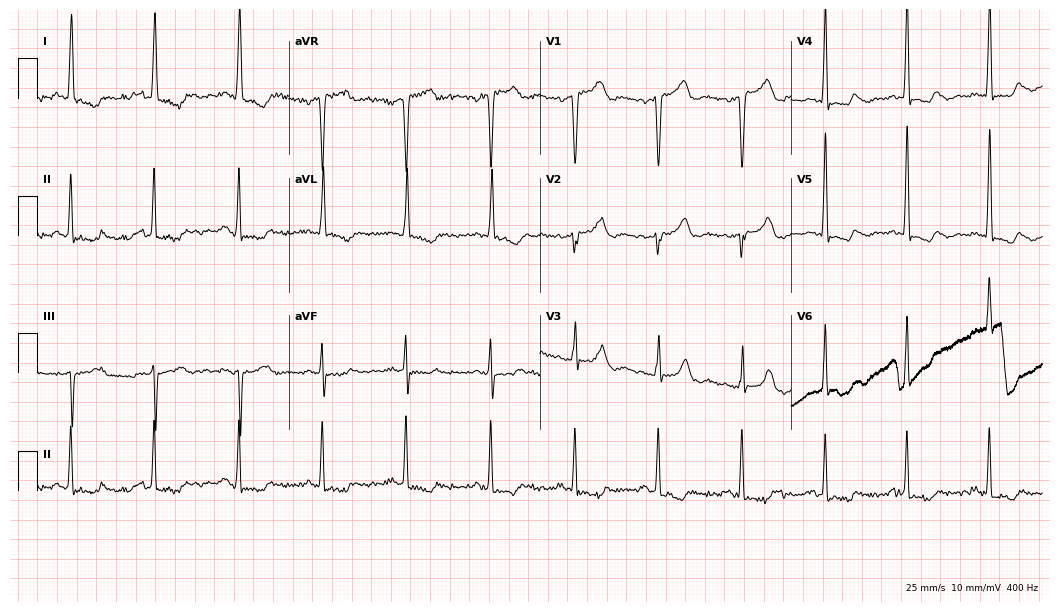
12-lead ECG from a female patient, 79 years old (10.2-second recording at 400 Hz). No first-degree AV block, right bundle branch block (RBBB), left bundle branch block (LBBB), sinus bradycardia, atrial fibrillation (AF) or sinus tachycardia recorded for this tracing.